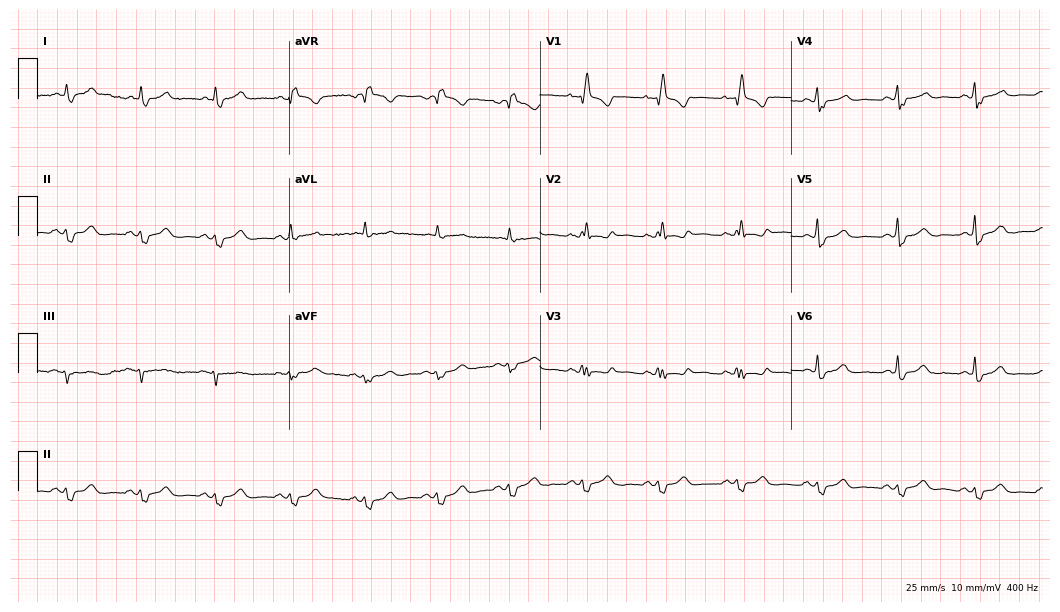
Resting 12-lead electrocardiogram. Patient: a woman, 45 years old. The tracing shows right bundle branch block (RBBB).